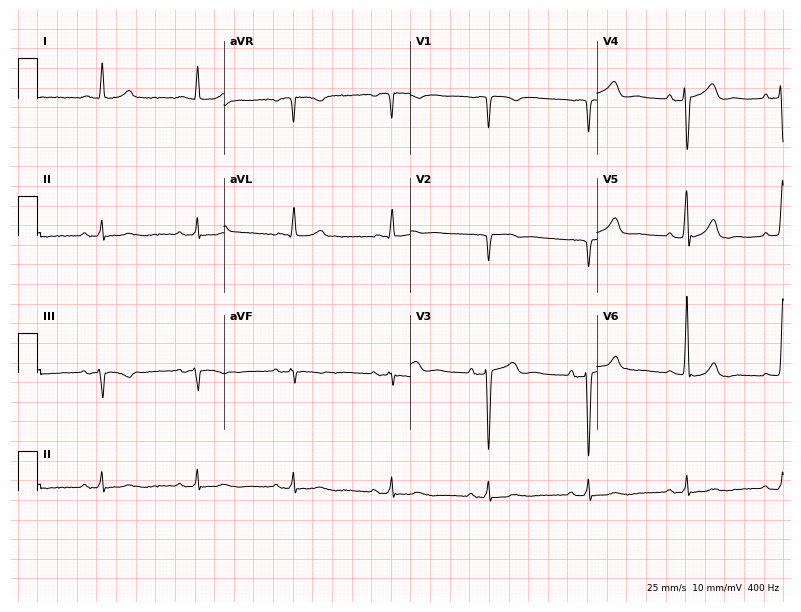
Electrocardiogram (7.6-second recording at 400 Hz), a 79-year-old man. Overall reading on record: normal ECG.